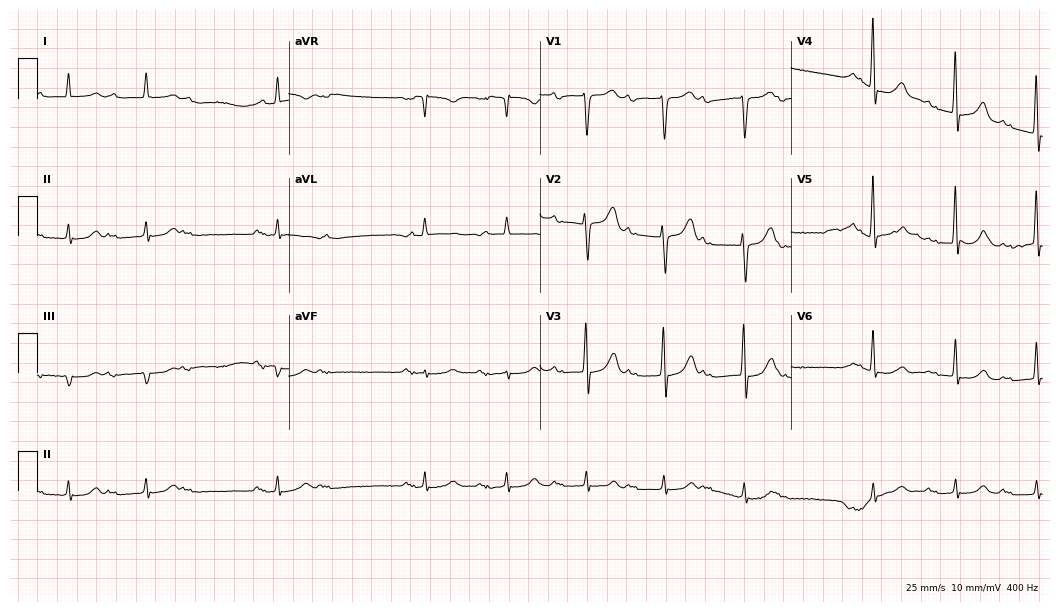
Electrocardiogram (10.2-second recording at 400 Hz), a 71-year-old male patient. Of the six screened findings (first-degree AV block, right bundle branch block (RBBB), left bundle branch block (LBBB), sinus bradycardia, atrial fibrillation (AF), sinus tachycardia), none is recorded. Other findings, if any, are not listed.